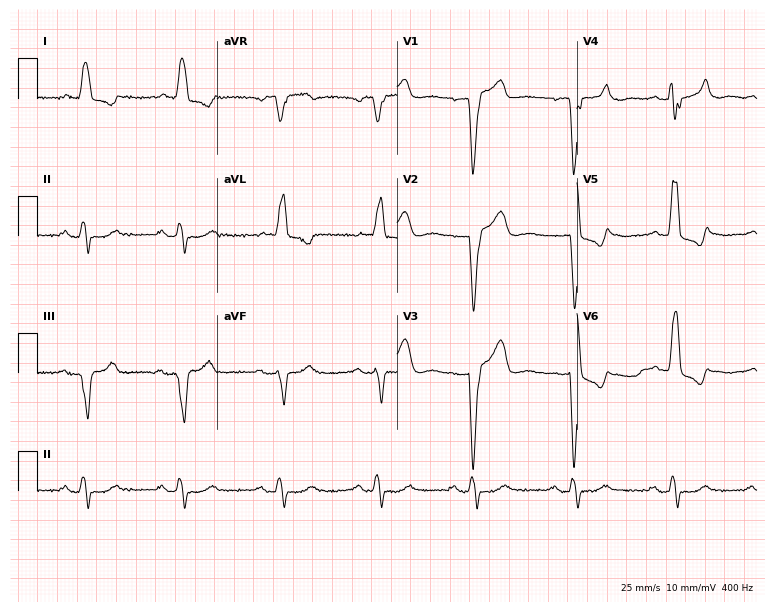
12-lead ECG (7.3-second recording at 400 Hz) from a female, 69 years old. Findings include left bundle branch block.